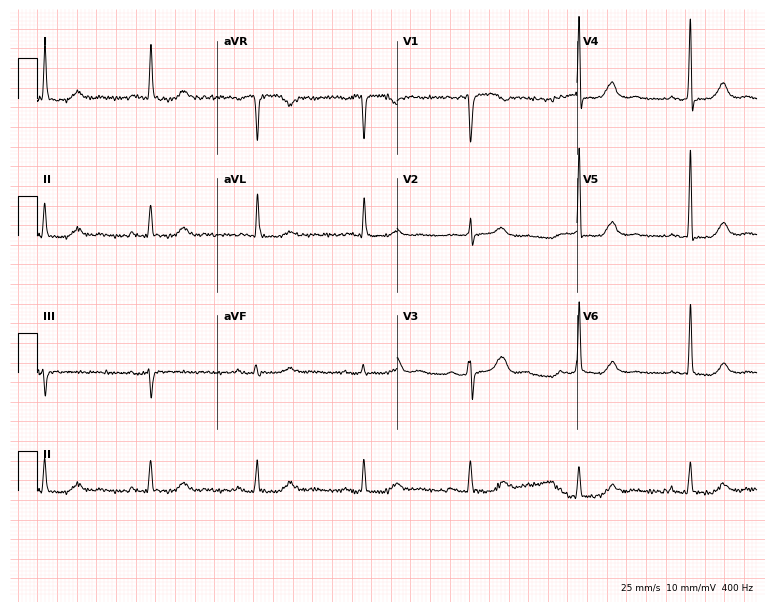
Resting 12-lead electrocardiogram. Patient: an 84-year-old woman. None of these six findings is recorded: first-degree AV block, right bundle branch block (RBBB), left bundle branch block (LBBB), sinus bradycardia, atrial fibrillation (AF), sinus tachycardia.